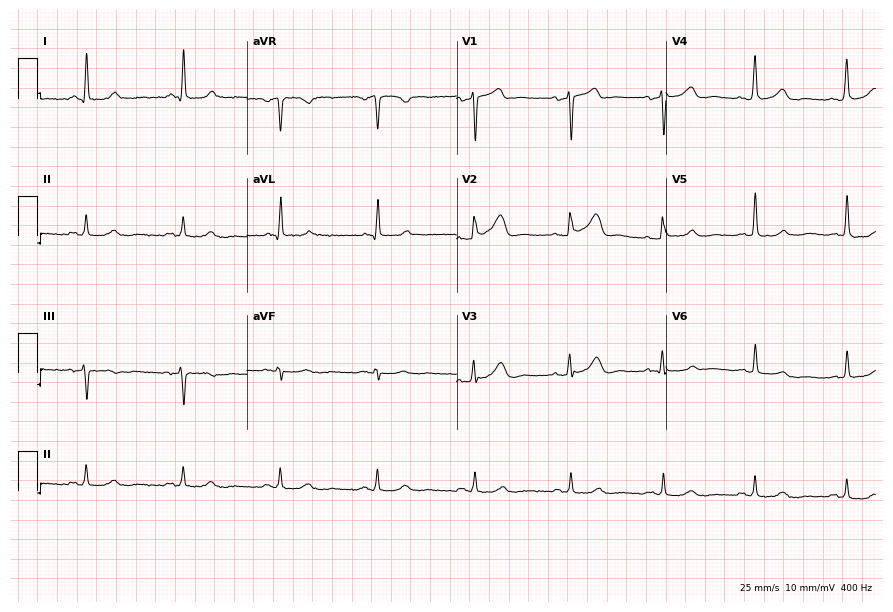
12-lead ECG from a 68-year-old male. Screened for six findings — first-degree AV block, right bundle branch block, left bundle branch block, sinus bradycardia, atrial fibrillation, sinus tachycardia — none is recorded.